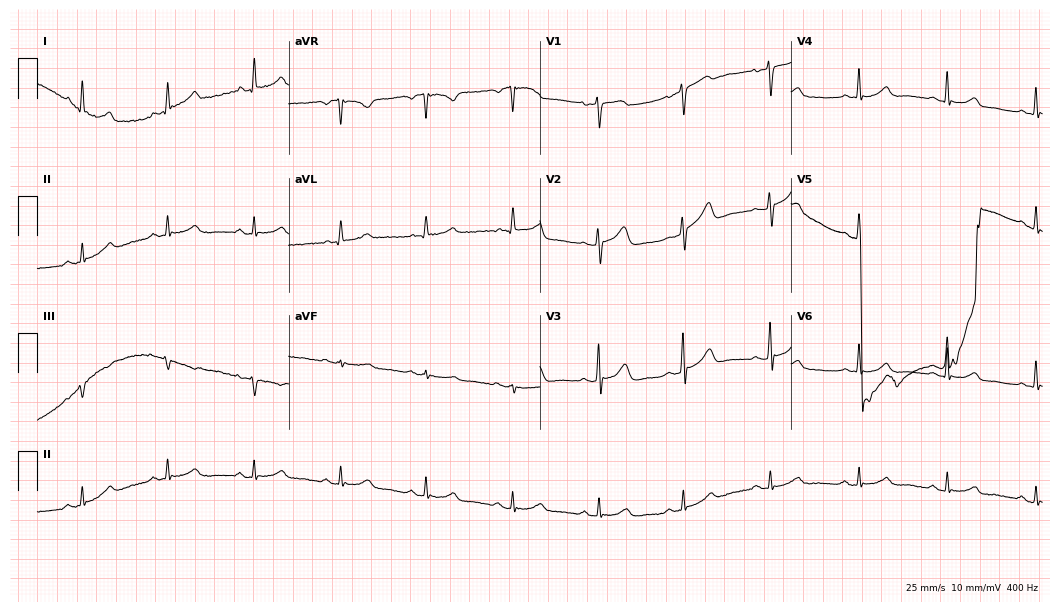
12-lead ECG from a 62-year-old female. Screened for six findings — first-degree AV block, right bundle branch block, left bundle branch block, sinus bradycardia, atrial fibrillation, sinus tachycardia — none is recorded. Findings outside these six are not listed.